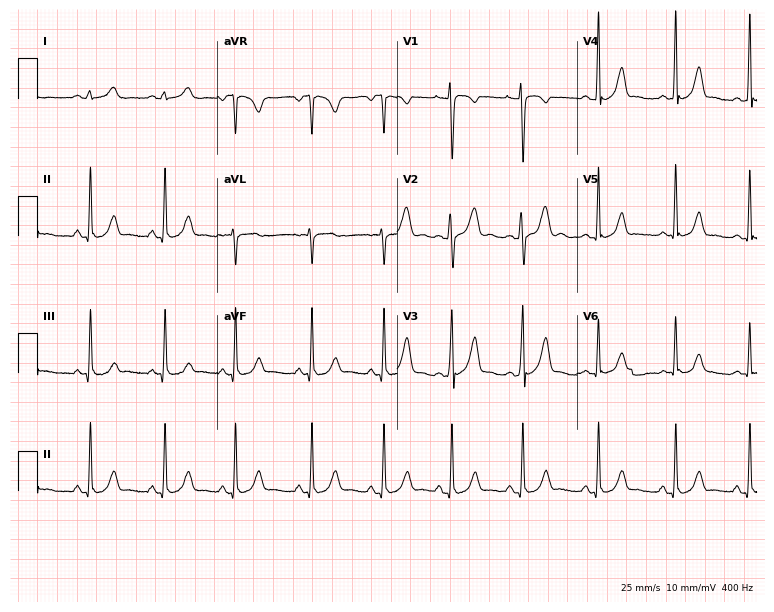
Standard 12-lead ECG recorded from a 21-year-old female patient. None of these six findings is recorded: first-degree AV block, right bundle branch block, left bundle branch block, sinus bradycardia, atrial fibrillation, sinus tachycardia.